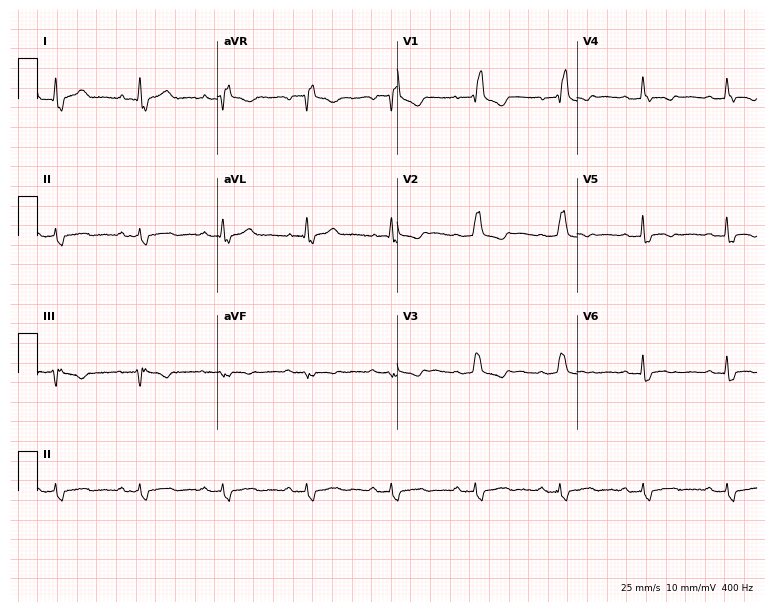
12-lead ECG from a 47-year-old woman. Shows right bundle branch block.